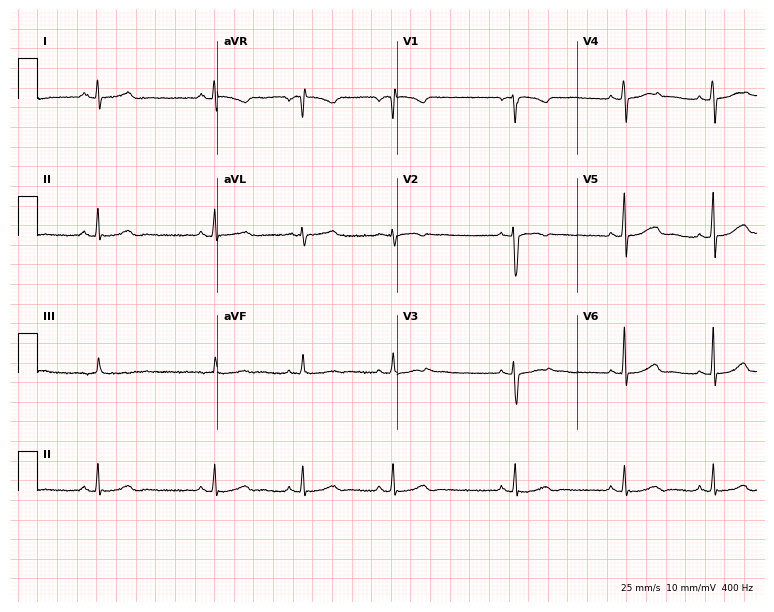
12-lead ECG from a female patient, 18 years old. No first-degree AV block, right bundle branch block (RBBB), left bundle branch block (LBBB), sinus bradycardia, atrial fibrillation (AF) or sinus tachycardia recorded for this tracing. Other findings, if any, are not listed.